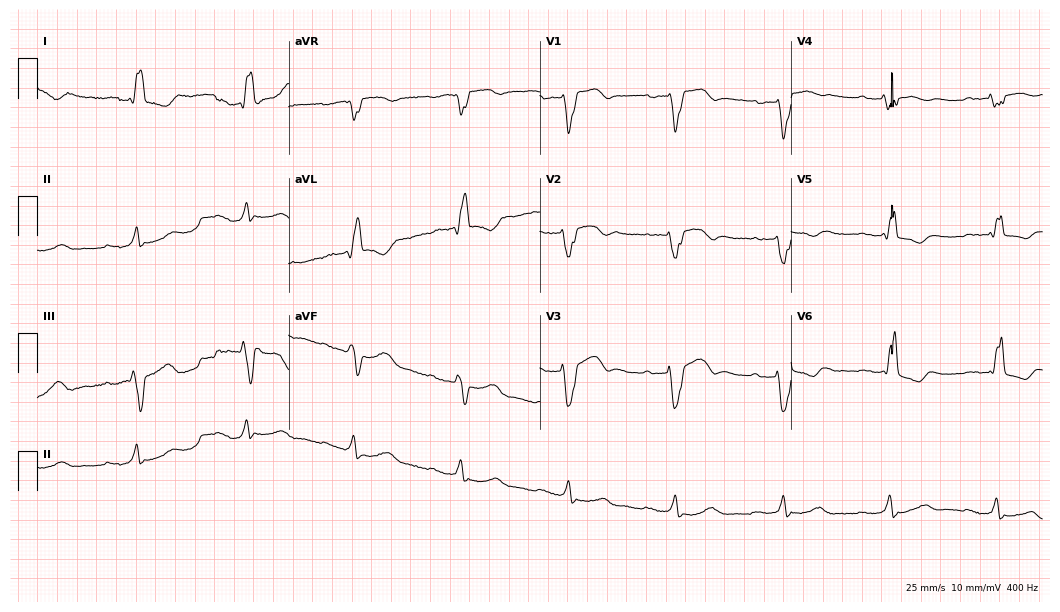
Electrocardiogram (10.2-second recording at 400 Hz), a 63-year-old man. Interpretation includes first-degree AV block, left bundle branch block (LBBB).